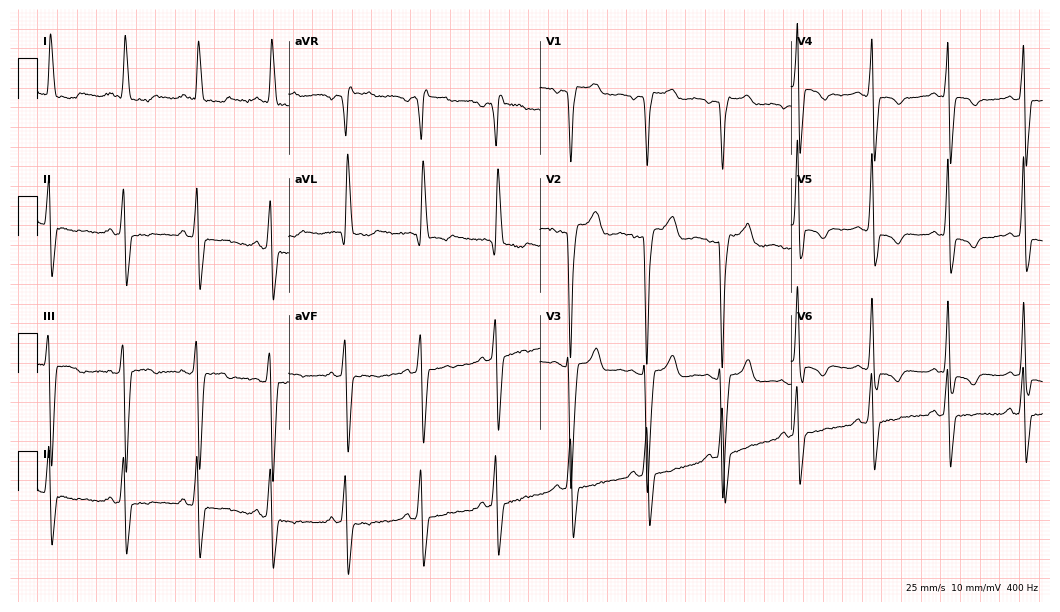
12-lead ECG (10.2-second recording at 400 Hz) from a 61-year-old female patient. Screened for six findings — first-degree AV block, right bundle branch block (RBBB), left bundle branch block (LBBB), sinus bradycardia, atrial fibrillation (AF), sinus tachycardia — none is recorded. Only these six findings were labelled.